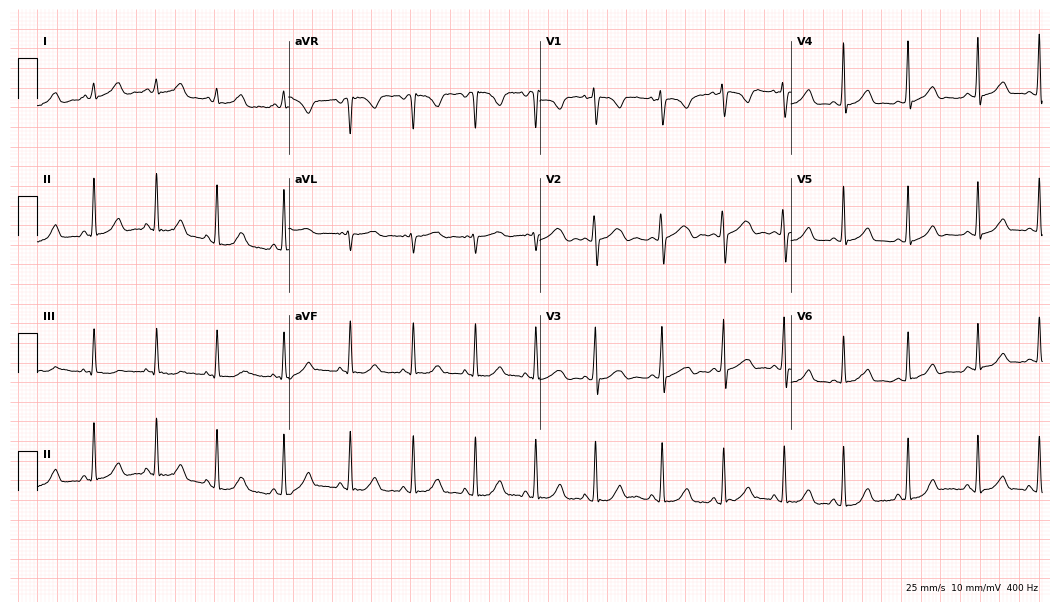
Standard 12-lead ECG recorded from a 17-year-old female (10.2-second recording at 400 Hz). Read as a normal ECG.